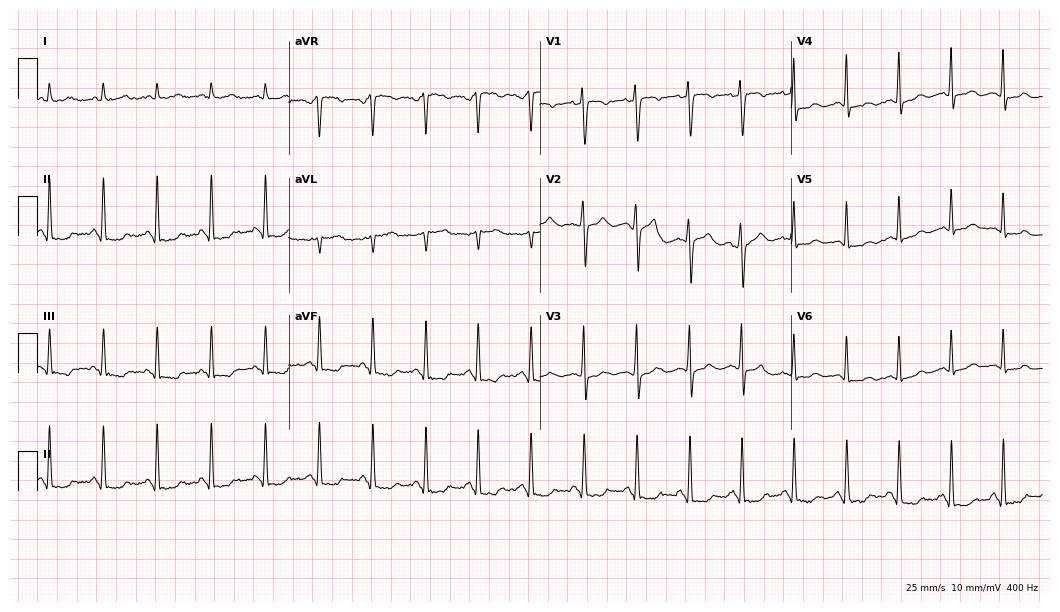
12-lead ECG from a 37-year-old female patient. No first-degree AV block, right bundle branch block (RBBB), left bundle branch block (LBBB), sinus bradycardia, atrial fibrillation (AF) or sinus tachycardia recorded for this tracing.